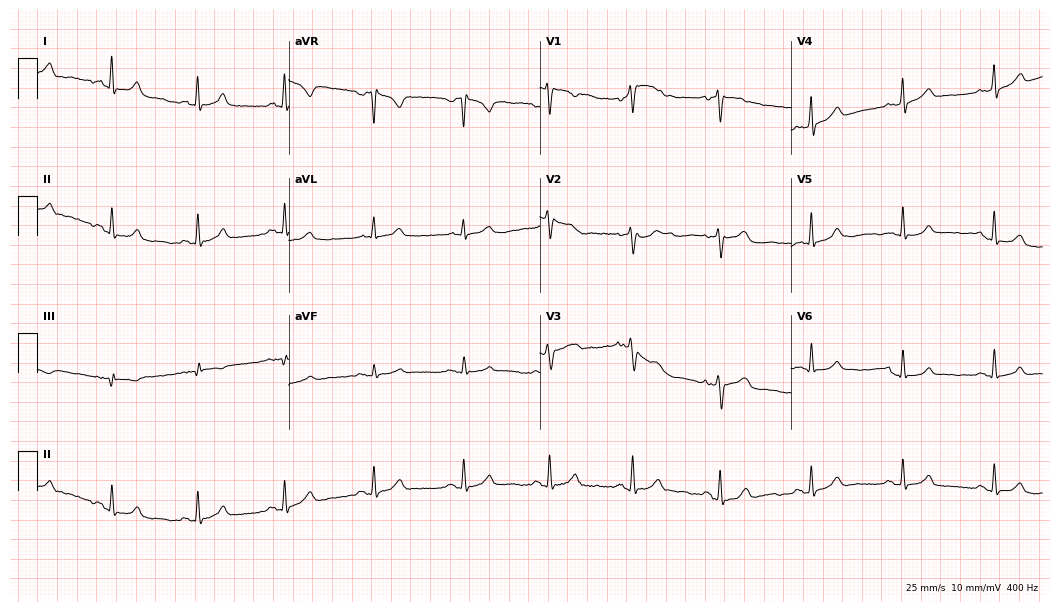
ECG (10.2-second recording at 400 Hz) — a woman, 54 years old. Labelled as a normal ECG.